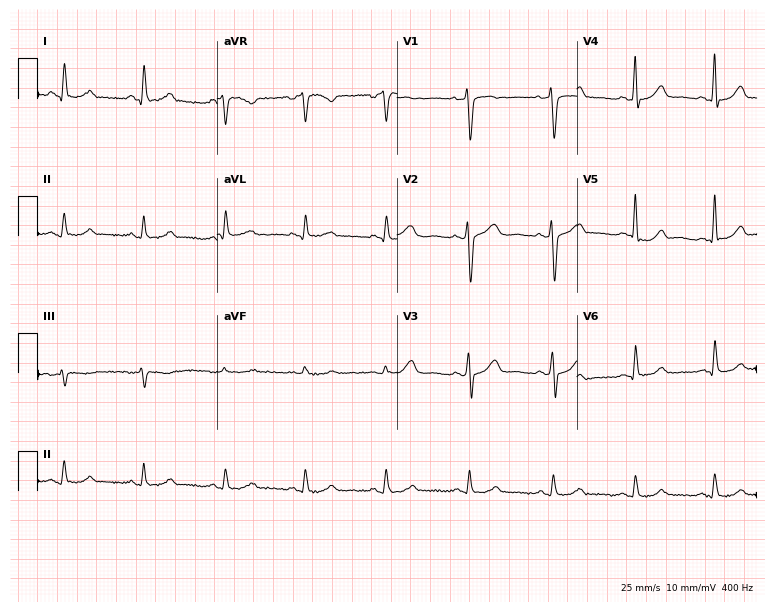
ECG — a 50-year-old female. Screened for six findings — first-degree AV block, right bundle branch block, left bundle branch block, sinus bradycardia, atrial fibrillation, sinus tachycardia — none is recorded. Other findings, if any, are not listed.